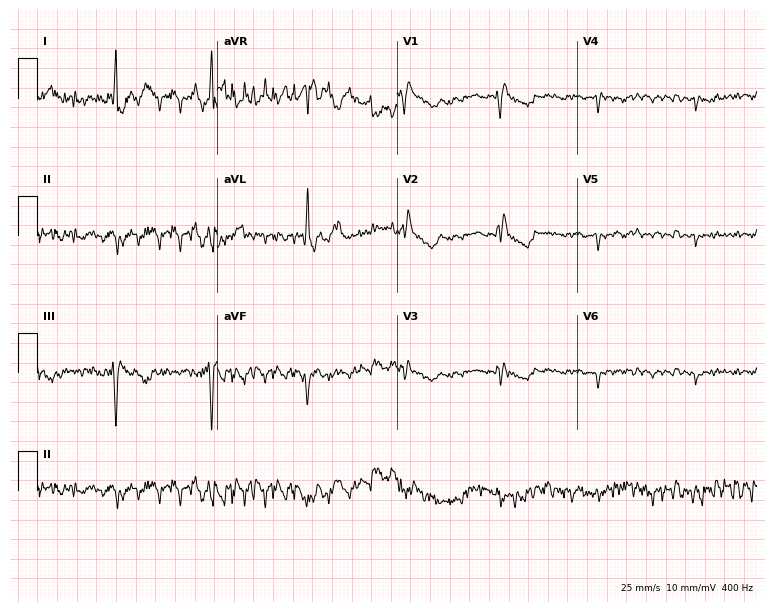
12-lead ECG (7.3-second recording at 400 Hz) from a 63-year-old female patient. Screened for six findings — first-degree AV block, right bundle branch block, left bundle branch block, sinus bradycardia, atrial fibrillation, sinus tachycardia — none is recorded.